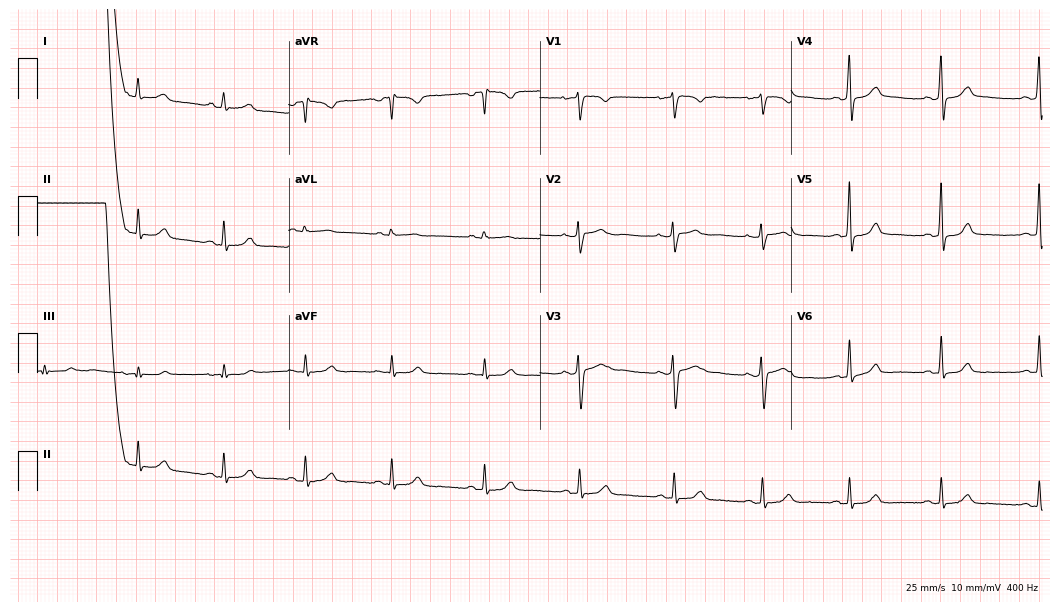
Resting 12-lead electrocardiogram (10.2-second recording at 400 Hz). Patient: a female, 33 years old. None of these six findings is recorded: first-degree AV block, right bundle branch block (RBBB), left bundle branch block (LBBB), sinus bradycardia, atrial fibrillation (AF), sinus tachycardia.